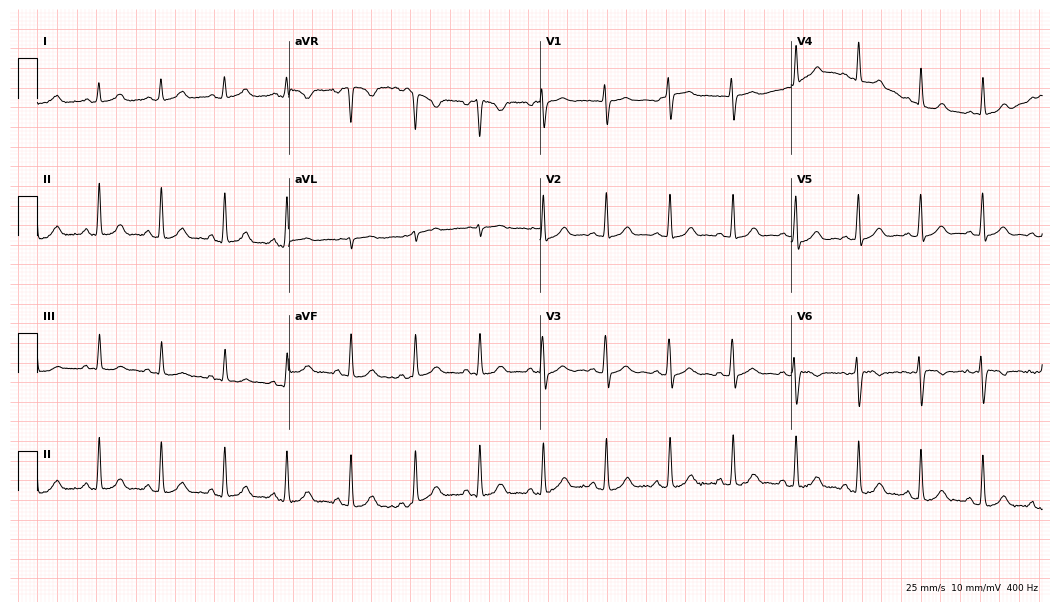
Electrocardiogram (10.2-second recording at 400 Hz), a woman, 21 years old. Overall reading on record: normal ECG.